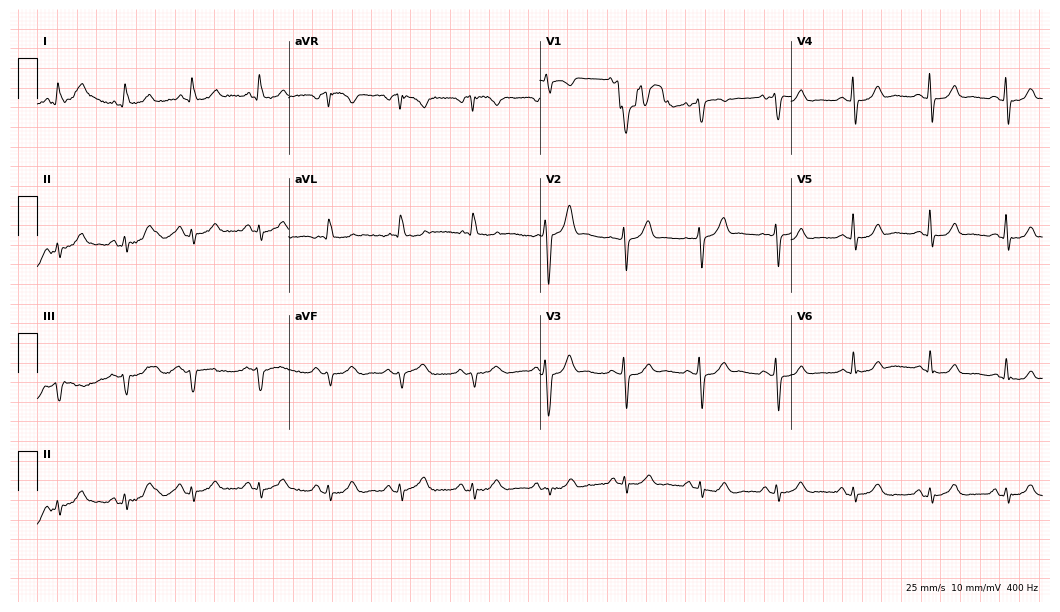
12-lead ECG from a male, 83 years old. Labelled as a normal ECG.